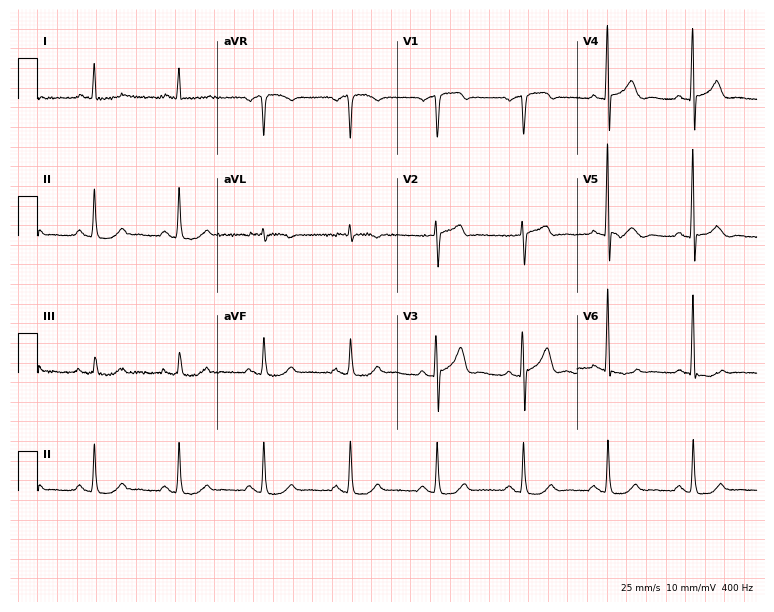
12-lead ECG (7.3-second recording at 400 Hz) from a 64-year-old man. Labelled as a normal ECG.